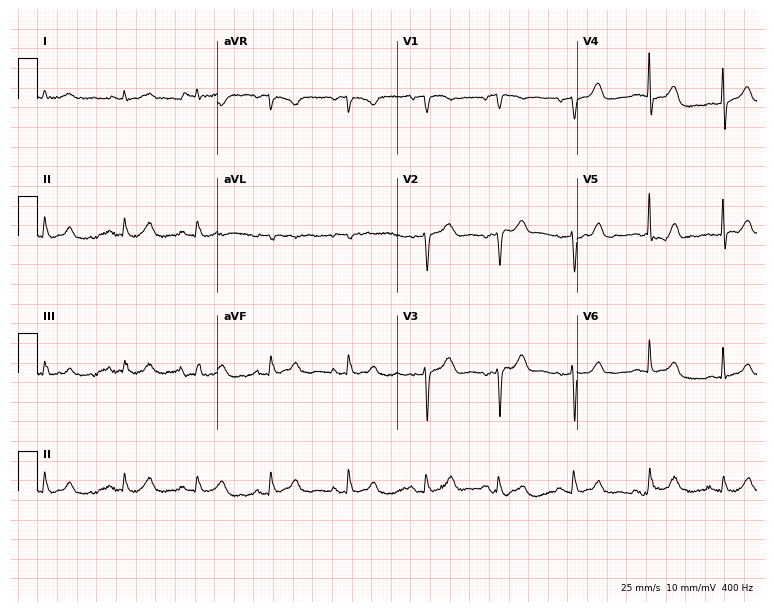
ECG — a female, 71 years old. Screened for six findings — first-degree AV block, right bundle branch block (RBBB), left bundle branch block (LBBB), sinus bradycardia, atrial fibrillation (AF), sinus tachycardia — none is recorded. Findings outside these six are not listed.